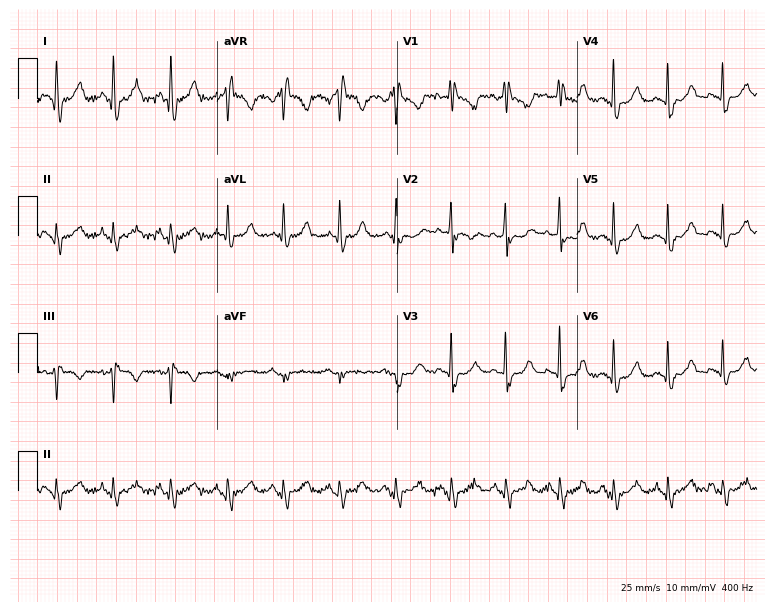
12-lead ECG (7.3-second recording at 400 Hz) from a 50-year-old female patient. Screened for six findings — first-degree AV block, right bundle branch block, left bundle branch block, sinus bradycardia, atrial fibrillation, sinus tachycardia — none is recorded.